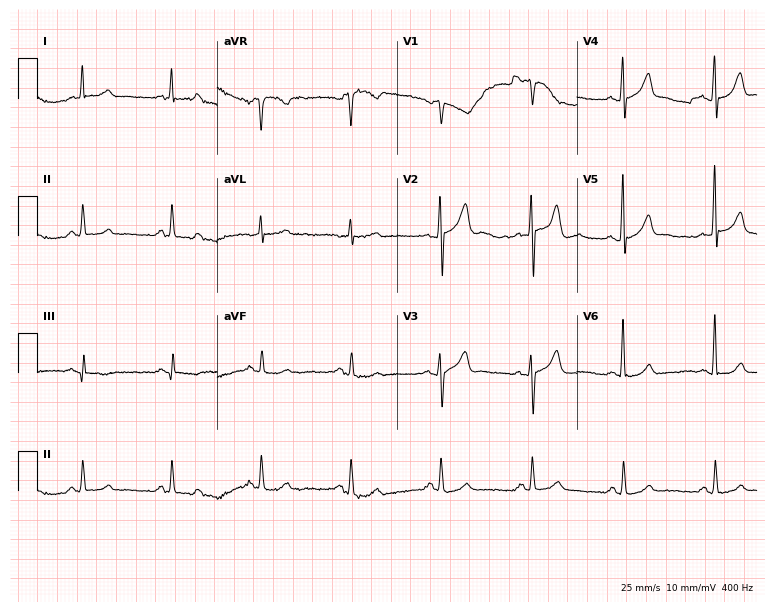
Resting 12-lead electrocardiogram (7.3-second recording at 400 Hz). Patient: a 69-year-old male. Read as a normal ECG.